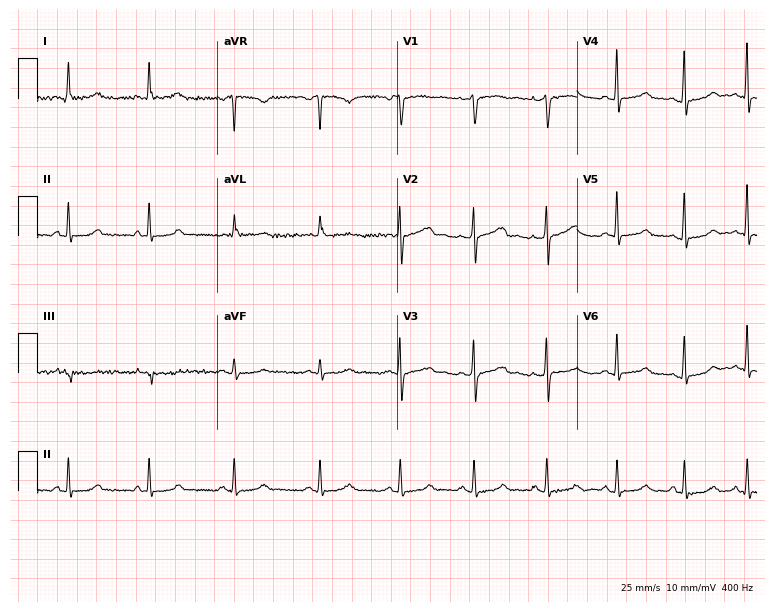
Resting 12-lead electrocardiogram. Patient: a 36-year-old woman. Read as a normal ECG.